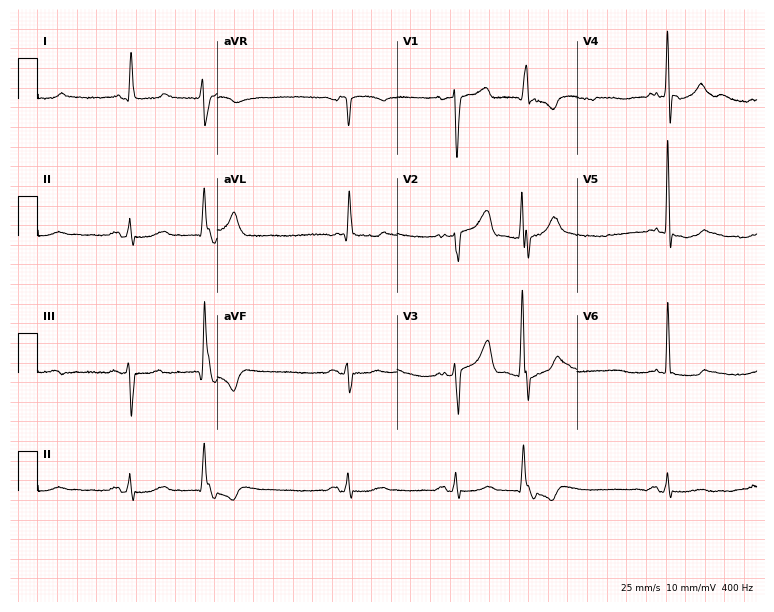
Electrocardiogram (7.3-second recording at 400 Hz), a 77-year-old man. Of the six screened findings (first-degree AV block, right bundle branch block, left bundle branch block, sinus bradycardia, atrial fibrillation, sinus tachycardia), none is recorded. Findings outside these six are not listed.